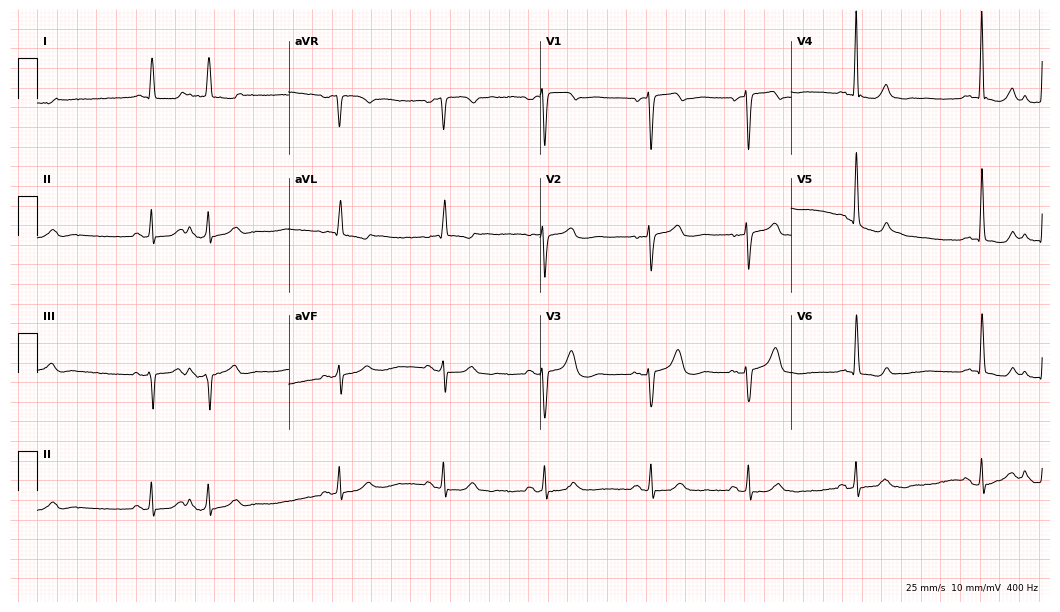
12-lead ECG from an 84-year-old woman. No first-degree AV block, right bundle branch block (RBBB), left bundle branch block (LBBB), sinus bradycardia, atrial fibrillation (AF) or sinus tachycardia recorded for this tracing. Only these six findings were labelled.